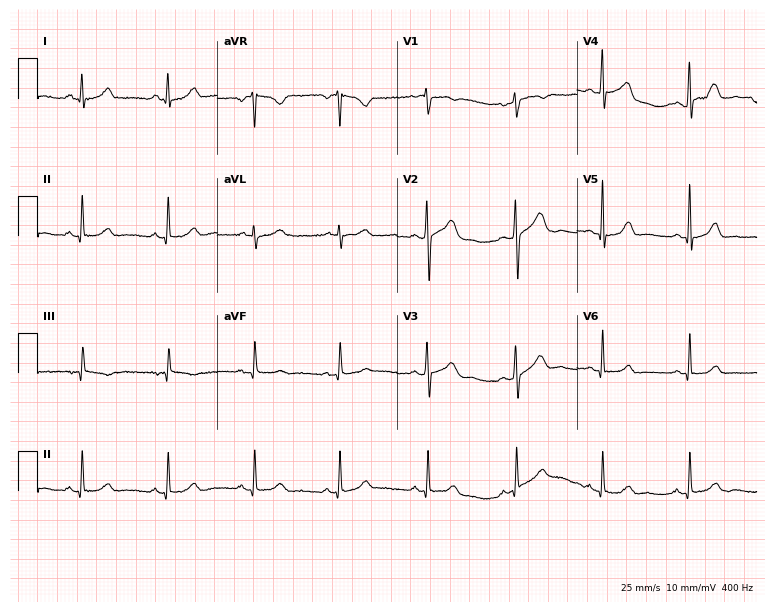
Standard 12-lead ECG recorded from a 39-year-old female patient. None of these six findings is recorded: first-degree AV block, right bundle branch block, left bundle branch block, sinus bradycardia, atrial fibrillation, sinus tachycardia.